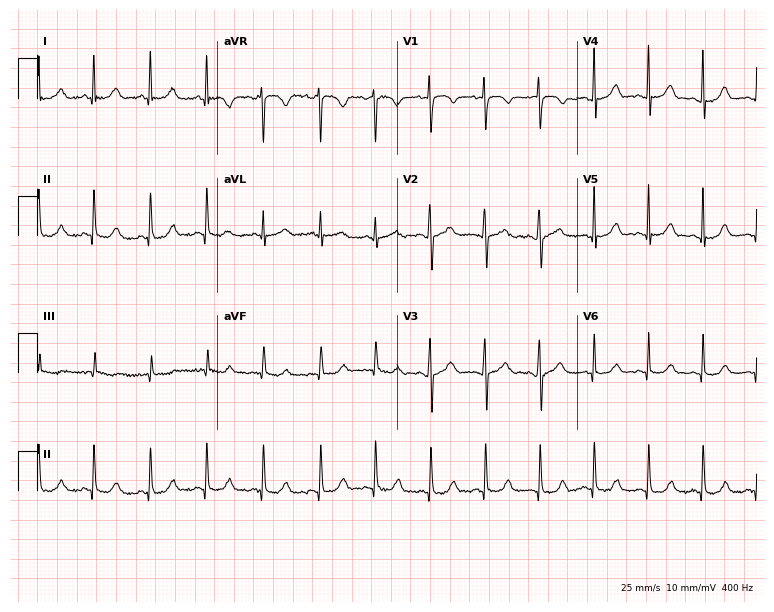
Electrocardiogram, a 20-year-old female. Interpretation includes sinus tachycardia (a sinus rate of 100 beats per minute or more).